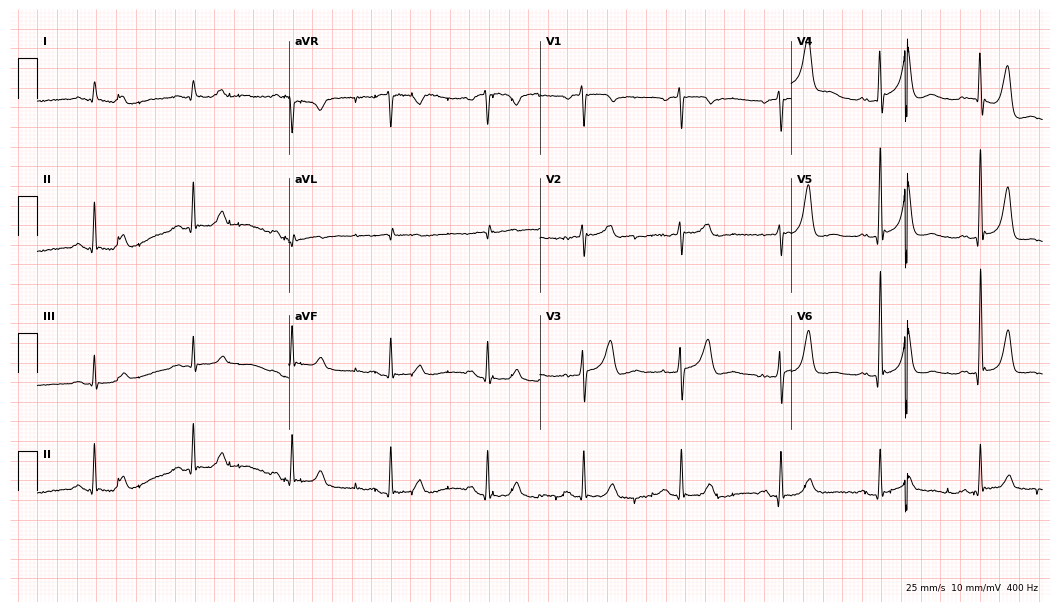
Resting 12-lead electrocardiogram (10.2-second recording at 400 Hz). Patient: a male, 74 years old. Read as a normal ECG.